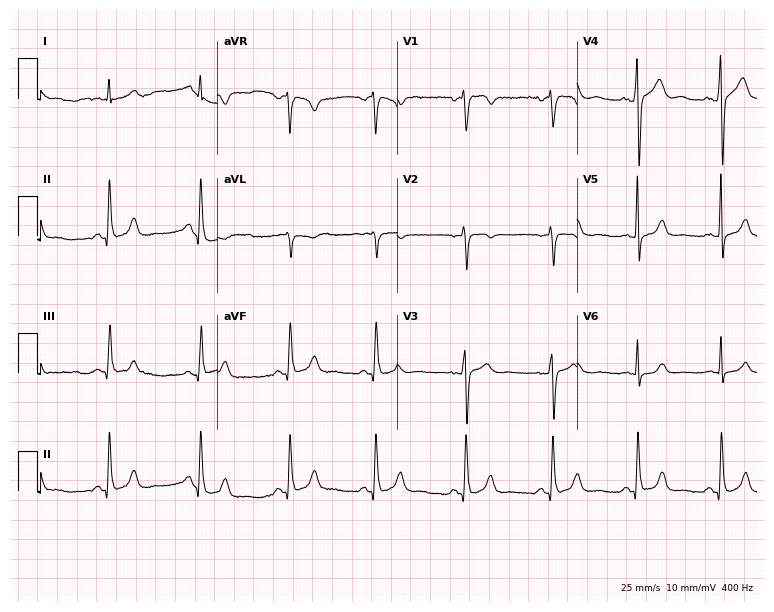
12-lead ECG from a man, 38 years old. Labelled as a normal ECG.